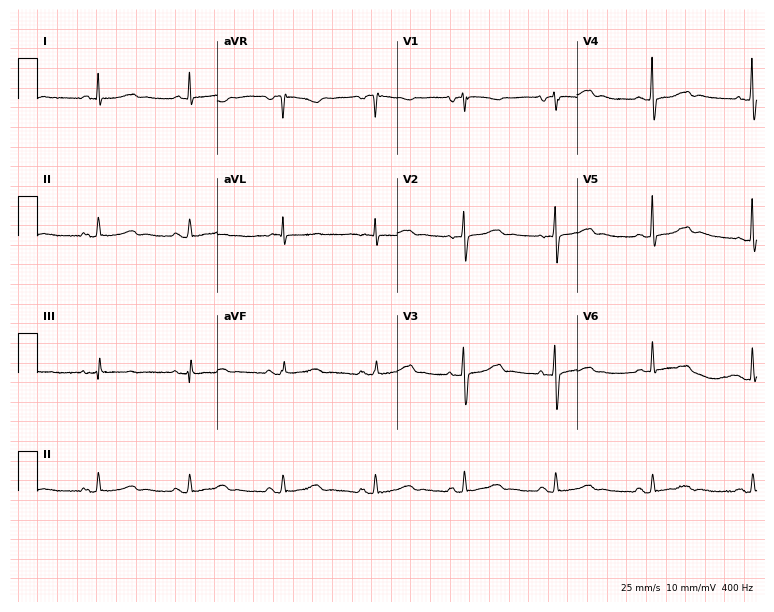
12-lead ECG from a woman, 72 years old. Recorded interpretation: within normal limits.